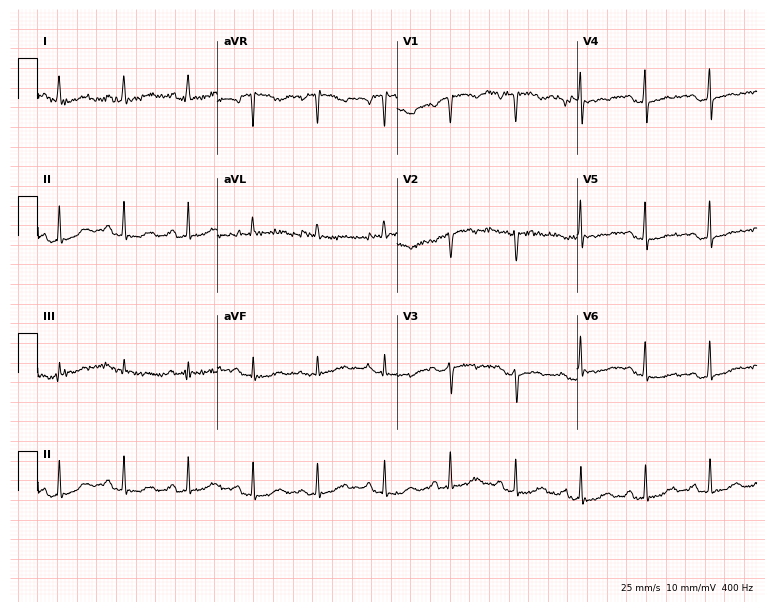
12-lead ECG from a 58-year-old female patient. No first-degree AV block, right bundle branch block (RBBB), left bundle branch block (LBBB), sinus bradycardia, atrial fibrillation (AF) or sinus tachycardia recorded for this tracing. Other findings, if any, are not listed.